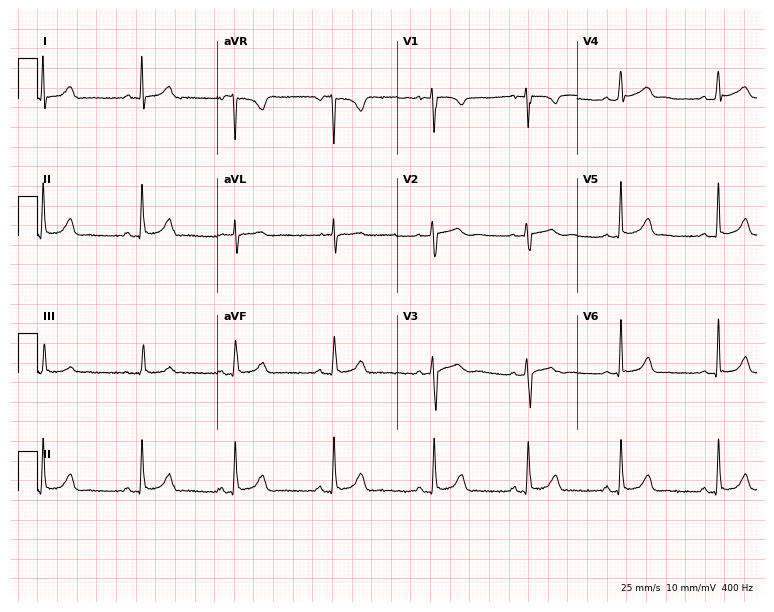
12-lead ECG from a female patient, 18 years old. Labelled as a normal ECG.